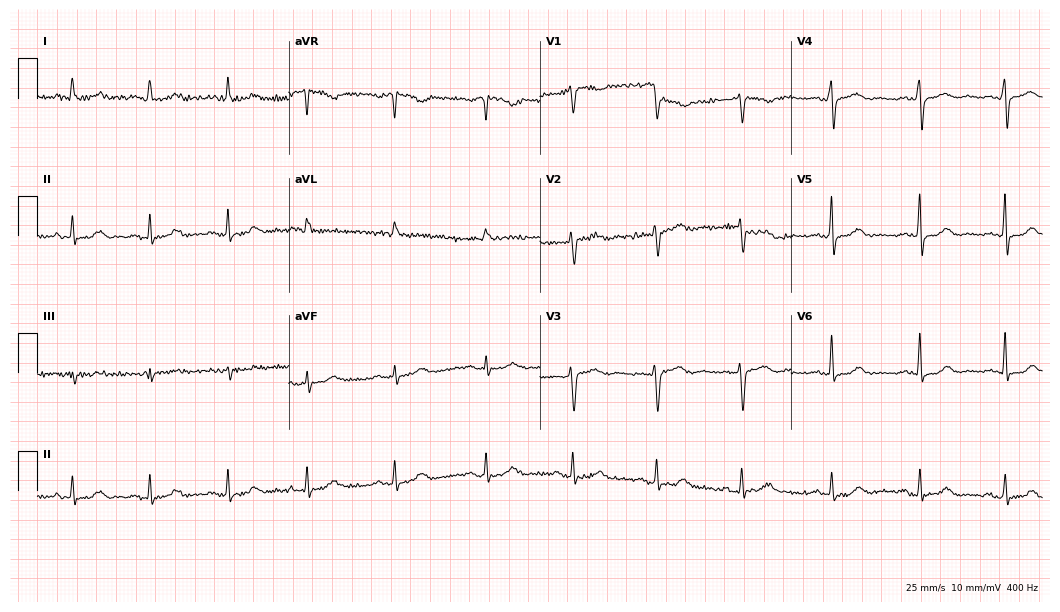
Standard 12-lead ECG recorded from a 50-year-old female. Read as a normal ECG.